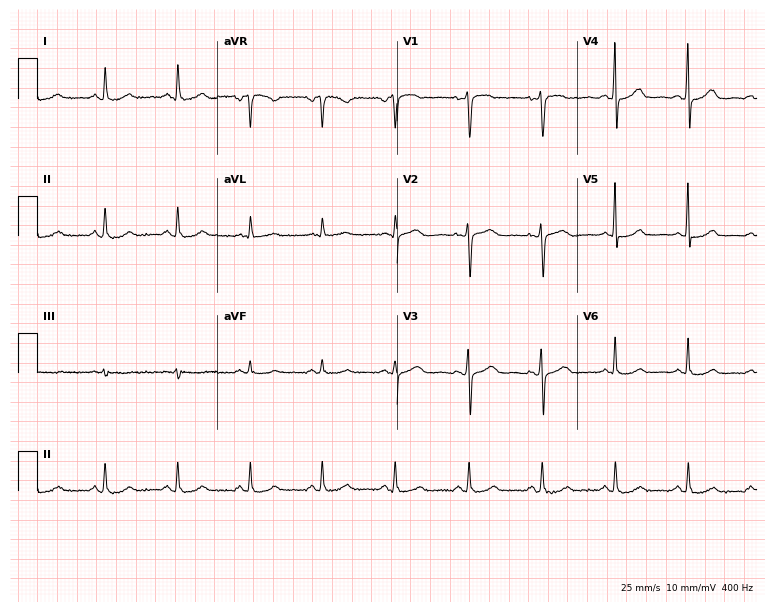
12-lead ECG from a female patient, 50 years old. Labelled as a normal ECG.